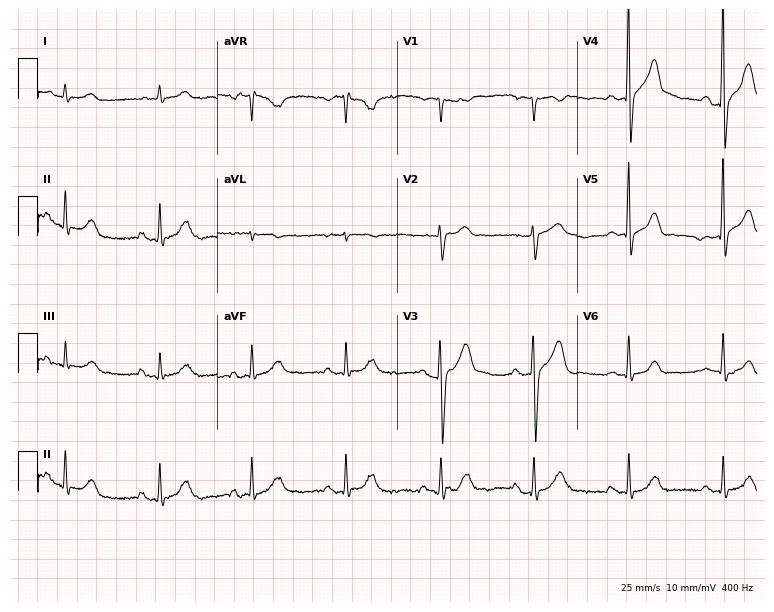
ECG — a 66-year-old man. Labelled as a normal ECG.